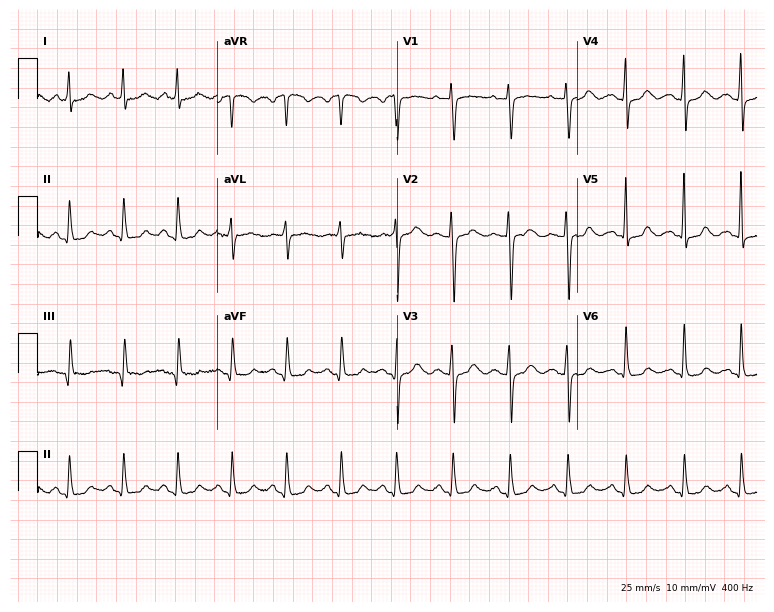
Resting 12-lead electrocardiogram. Patient: a female, 66 years old. None of these six findings is recorded: first-degree AV block, right bundle branch block (RBBB), left bundle branch block (LBBB), sinus bradycardia, atrial fibrillation (AF), sinus tachycardia. Findings outside these six are not listed.